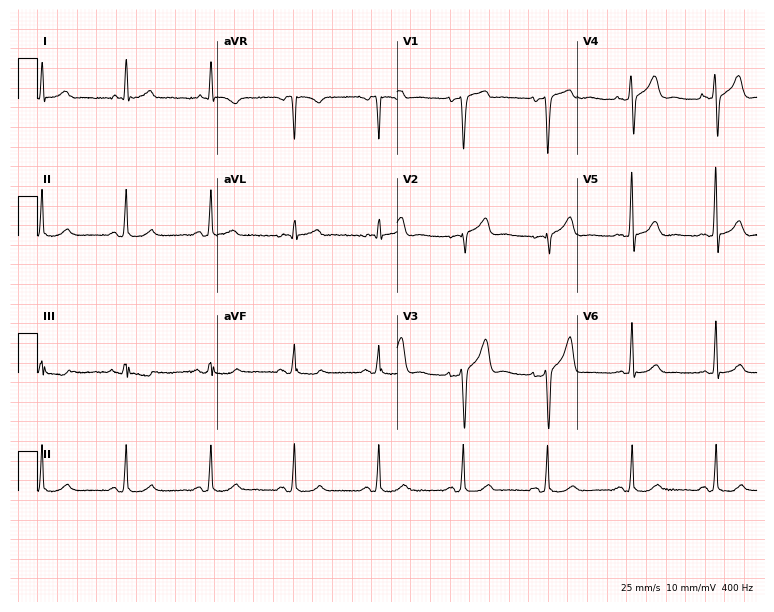
Resting 12-lead electrocardiogram. Patient: a man, 71 years old. Read as a normal ECG.